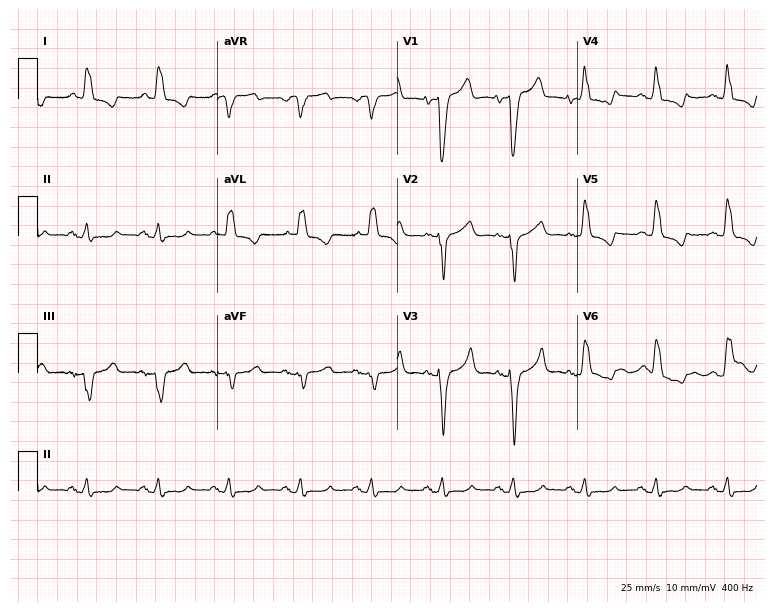
Resting 12-lead electrocardiogram. Patient: a female, 69 years old. The tracing shows left bundle branch block.